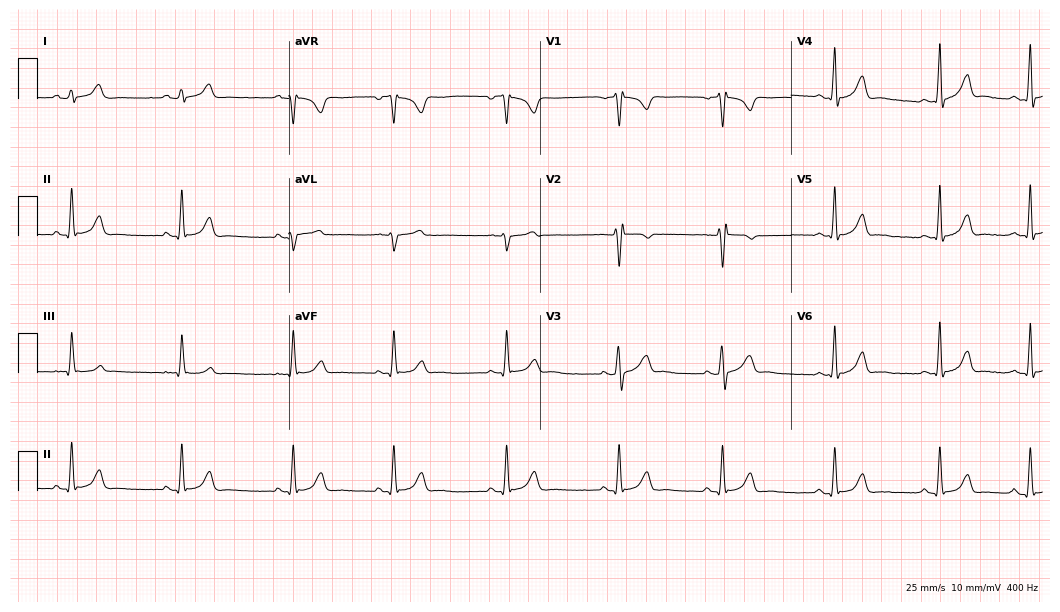
Standard 12-lead ECG recorded from a 23-year-old female. None of these six findings is recorded: first-degree AV block, right bundle branch block (RBBB), left bundle branch block (LBBB), sinus bradycardia, atrial fibrillation (AF), sinus tachycardia.